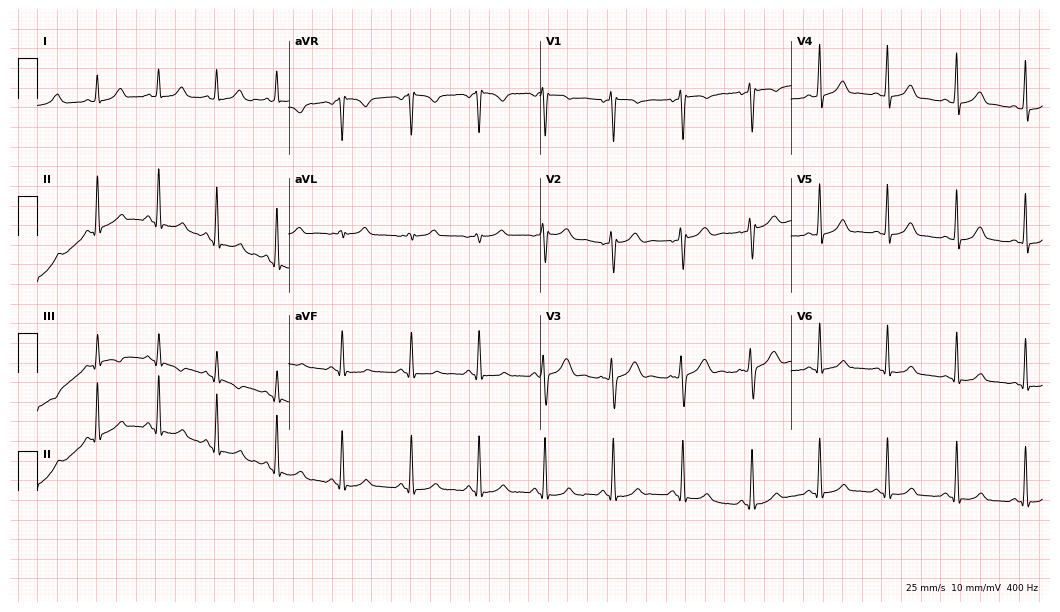
12-lead ECG (10.2-second recording at 400 Hz) from a woman, 22 years old. Screened for six findings — first-degree AV block, right bundle branch block, left bundle branch block, sinus bradycardia, atrial fibrillation, sinus tachycardia — none is recorded.